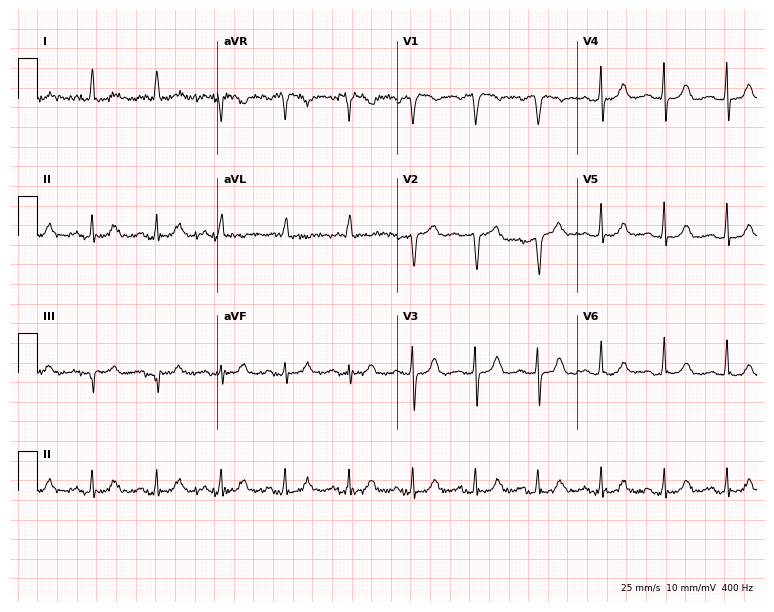
Standard 12-lead ECG recorded from an 81-year-old female patient (7.3-second recording at 400 Hz). None of these six findings is recorded: first-degree AV block, right bundle branch block (RBBB), left bundle branch block (LBBB), sinus bradycardia, atrial fibrillation (AF), sinus tachycardia. Other findings, if any, are not listed.